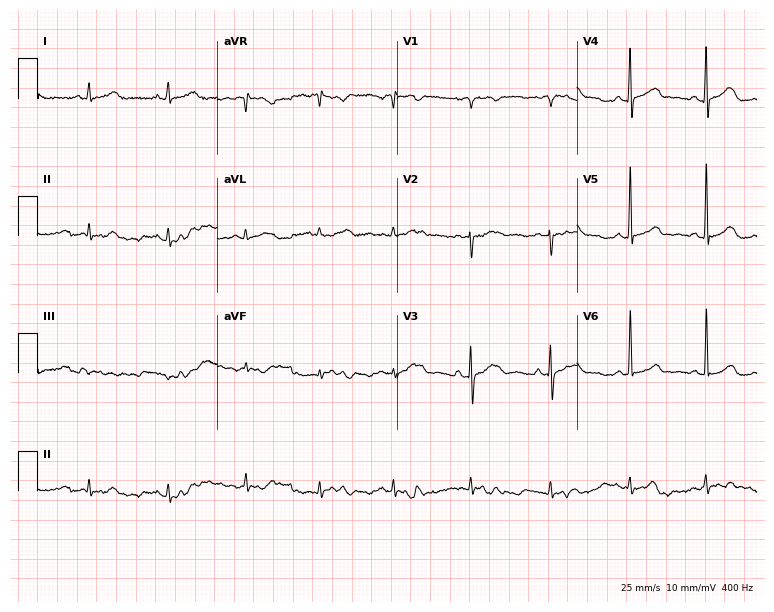
12-lead ECG (7.3-second recording at 400 Hz) from a female, 20 years old. Labelled as a normal ECG.